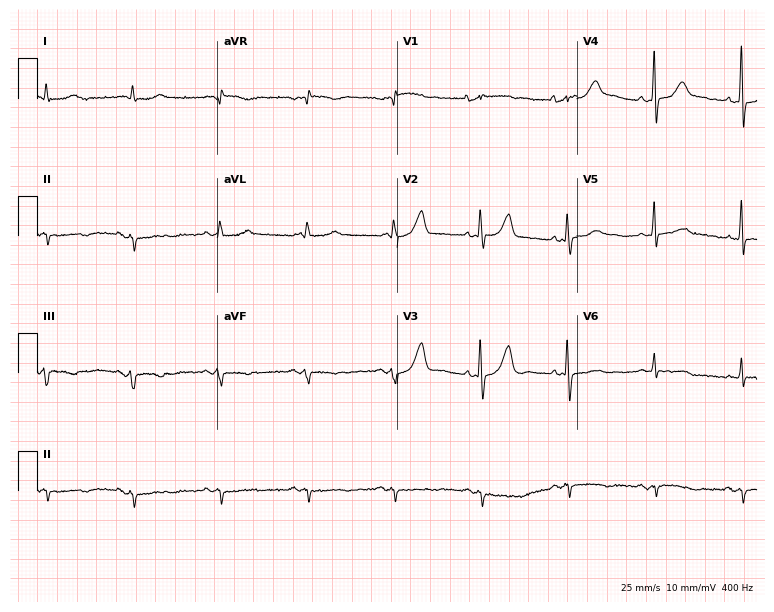
Standard 12-lead ECG recorded from a male, 71 years old. None of these six findings is recorded: first-degree AV block, right bundle branch block (RBBB), left bundle branch block (LBBB), sinus bradycardia, atrial fibrillation (AF), sinus tachycardia.